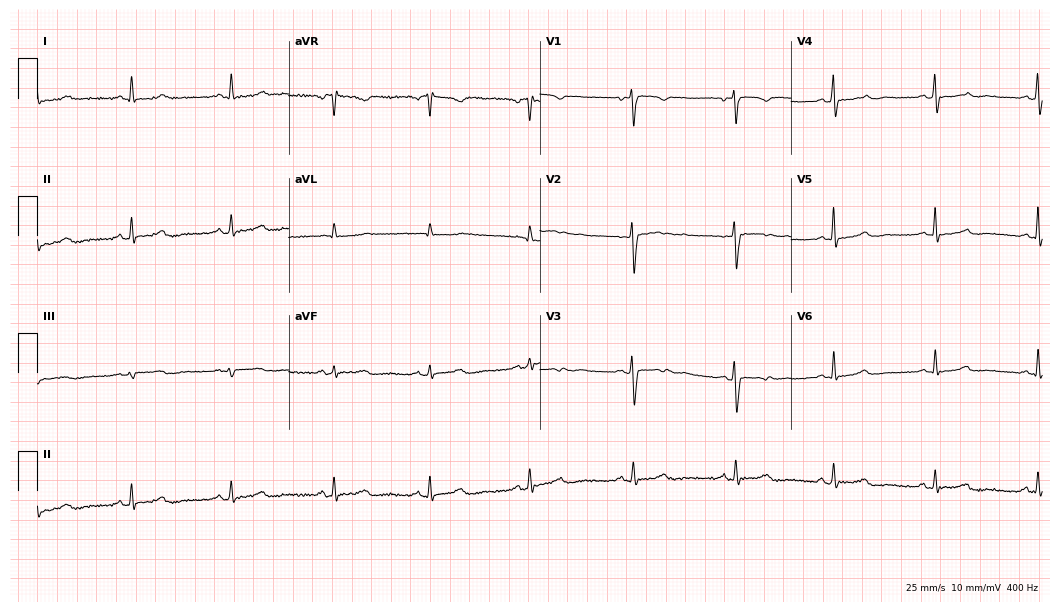
Resting 12-lead electrocardiogram (10.2-second recording at 400 Hz). Patient: a 54-year-old woman. Read as a normal ECG.